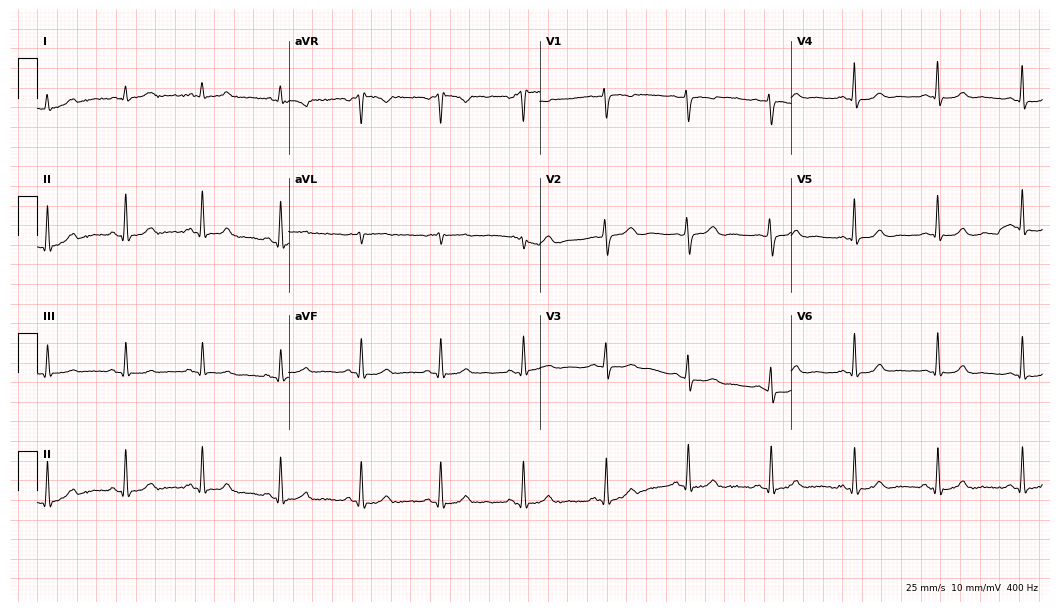
12-lead ECG from a female, 44 years old. Recorded interpretation: within normal limits.